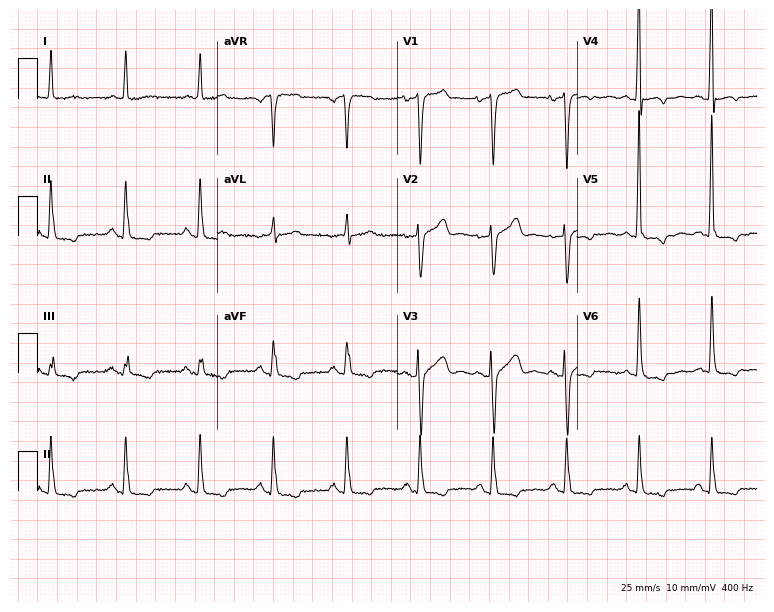
Electrocardiogram, a female patient, 67 years old. Of the six screened findings (first-degree AV block, right bundle branch block (RBBB), left bundle branch block (LBBB), sinus bradycardia, atrial fibrillation (AF), sinus tachycardia), none is recorded.